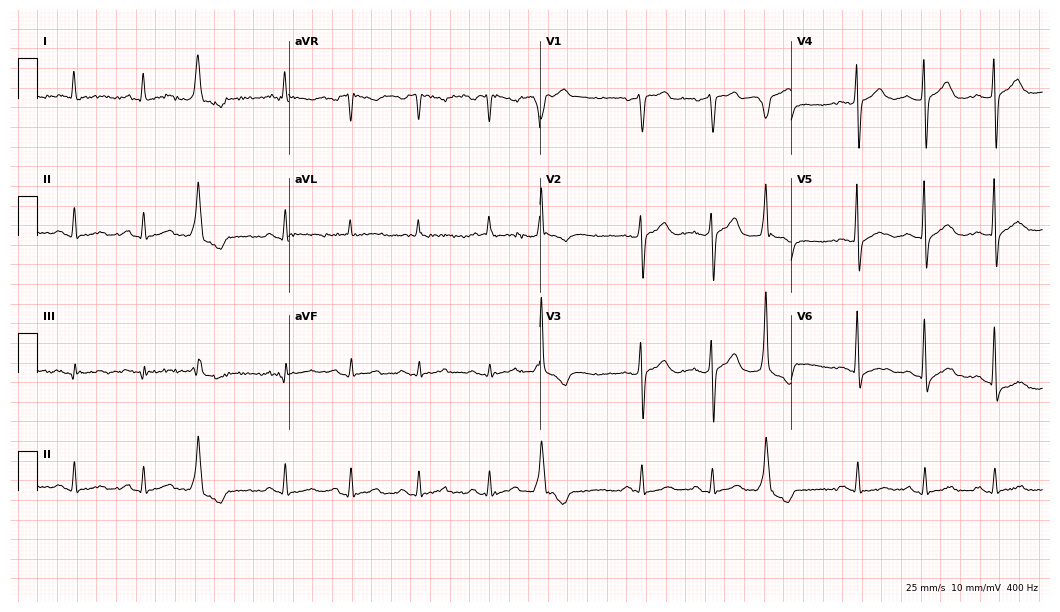
Standard 12-lead ECG recorded from a male patient, 75 years old. None of these six findings is recorded: first-degree AV block, right bundle branch block, left bundle branch block, sinus bradycardia, atrial fibrillation, sinus tachycardia. Other findings, if any, are not listed.